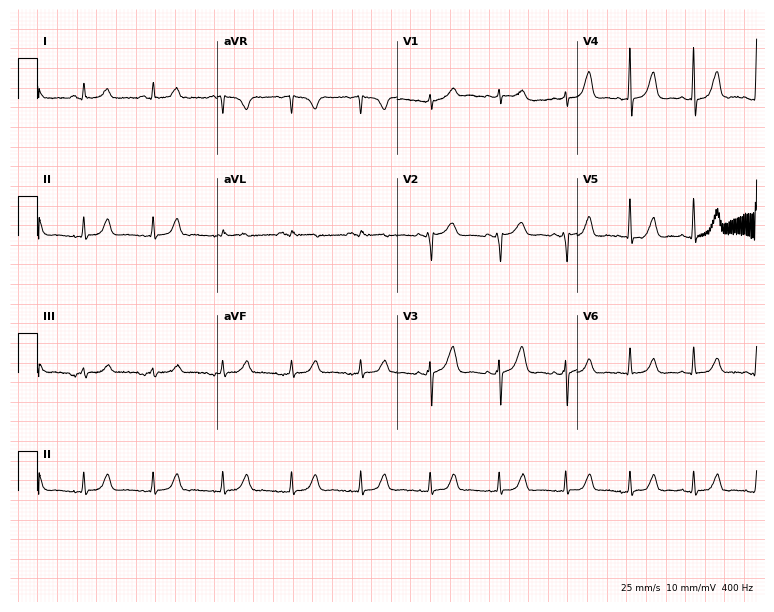
Standard 12-lead ECG recorded from a woman, 51 years old (7.3-second recording at 400 Hz). None of these six findings is recorded: first-degree AV block, right bundle branch block, left bundle branch block, sinus bradycardia, atrial fibrillation, sinus tachycardia. Only these six findings were labelled.